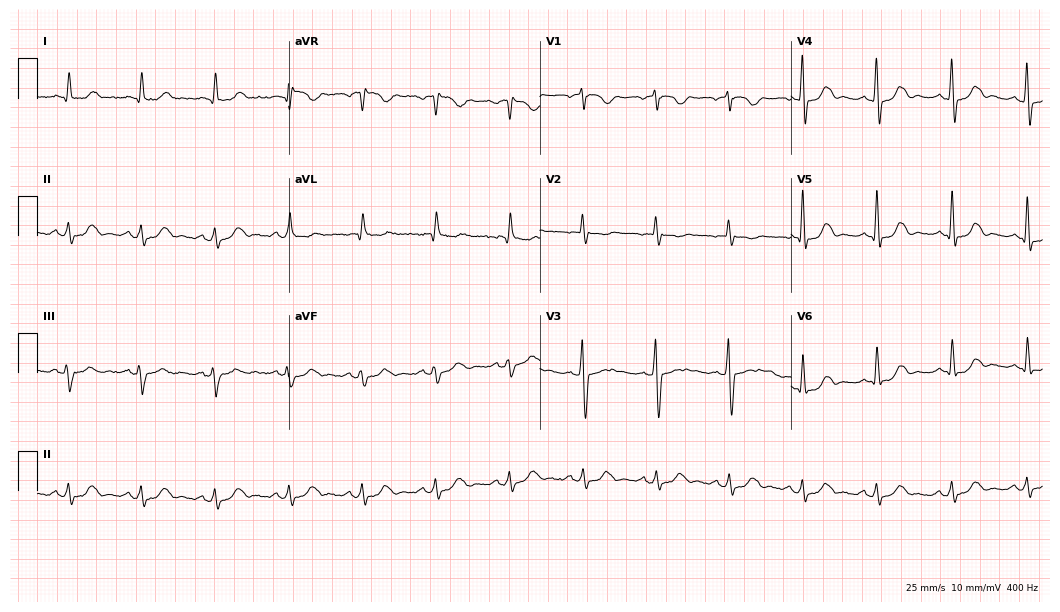
ECG — a 65-year-old woman. Labelled as a normal ECG.